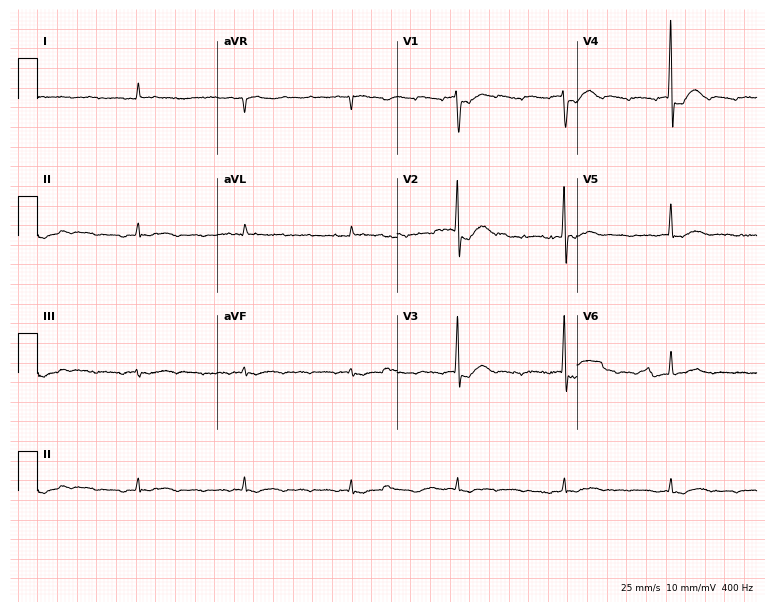
12-lead ECG from an 84-year-old woman (7.3-second recording at 400 Hz). No first-degree AV block, right bundle branch block (RBBB), left bundle branch block (LBBB), sinus bradycardia, atrial fibrillation (AF) or sinus tachycardia recorded for this tracing.